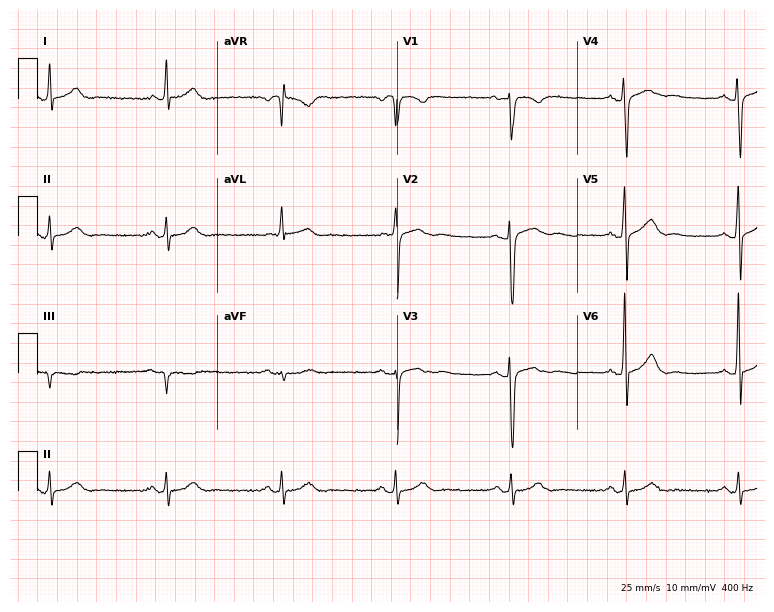
Resting 12-lead electrocardiogram (7.3-second recording at 400 Hz). Patient: a 68-year-old male. Read as a normal ECG.